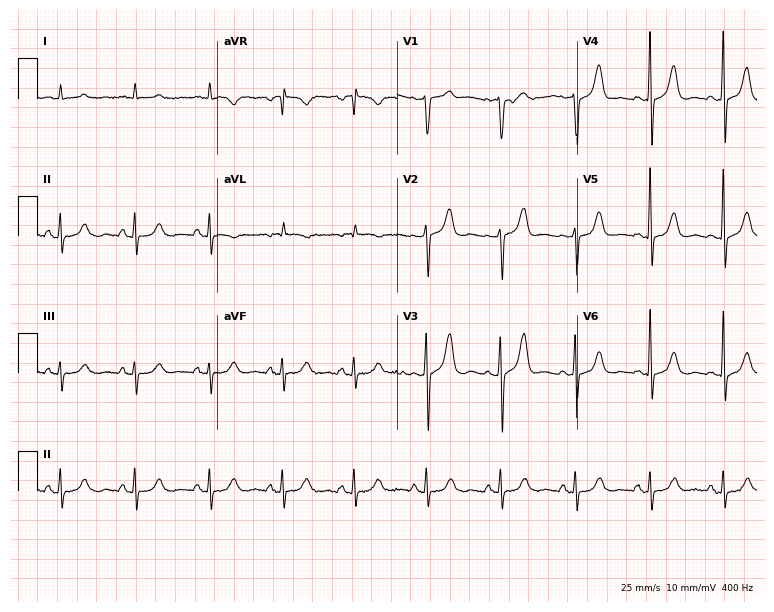
Standard 12-lead ECG recorded from a man, 85 years old (7.3-second recording at 400 Hz). None of these six findings is recorded: first-degree AV block, right bundle branch block, left bundle branch block, sinus bradycardia, atrial fibrillation, sinus tachycardia. Other findings, if any, are not listed.